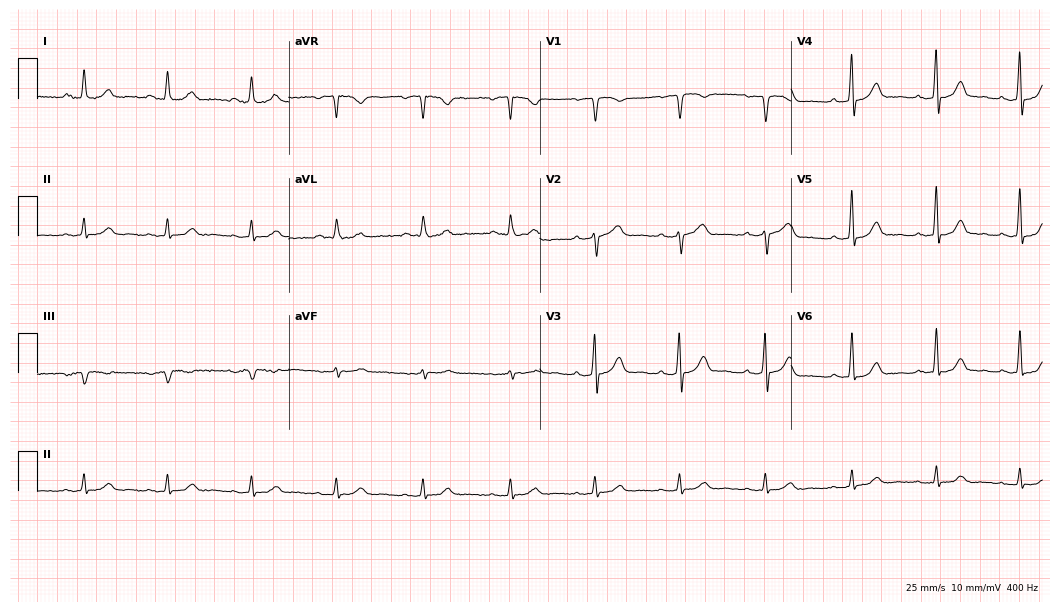
ECG (10.2-second recording at 400 Hz) — a 49-year-old male. Labelled as a normal ECG.